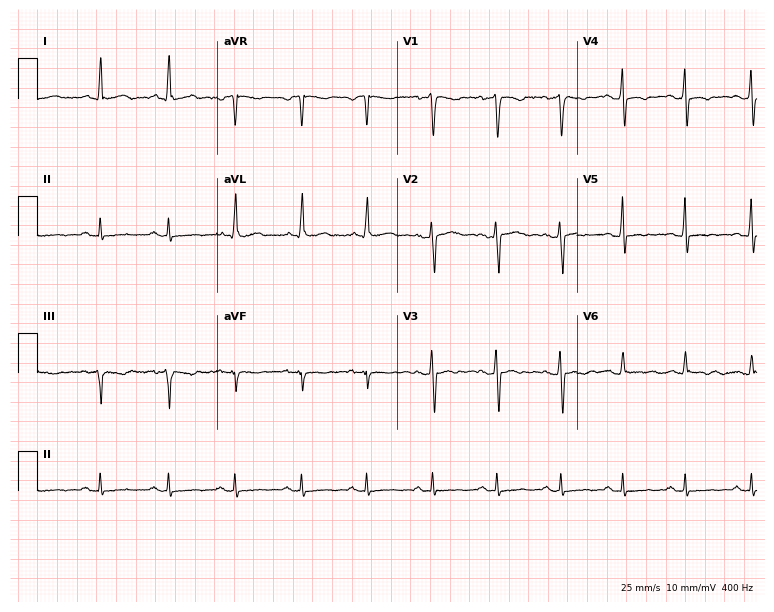
12-lead ECG from a man, 54 years old (7.3-second recording at 400 Hz). No first-degree AV block, right bundle branch block, left bundle branch block, sinus bradycardia, atrial fibrillation or sinus tachycardia recorded for this tracing. Only these six findings were labelled.